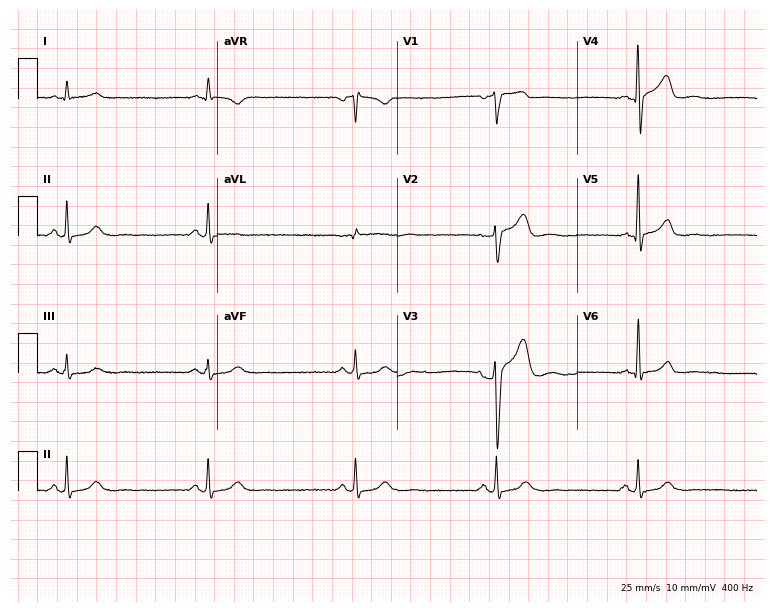
12-lead ECG from a male patient, 56 years old (7.3-second recording at 400 Hz). Shows sinus bradycardia (a sinus rate of 50 beats per minute or less).